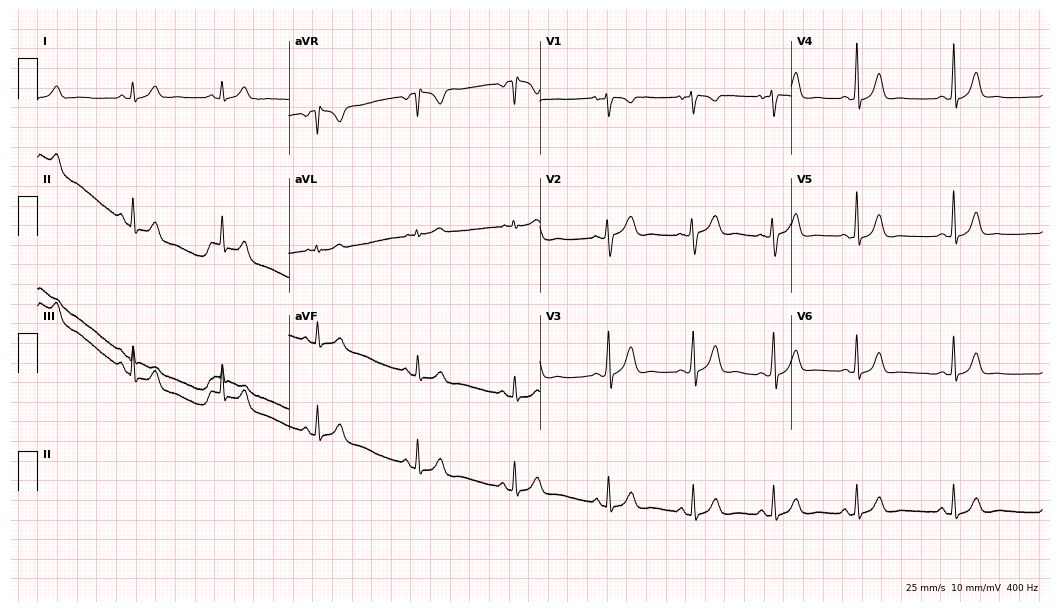
12-lead ECG from a woman, 32 years old. Labelled as a normal ECG.